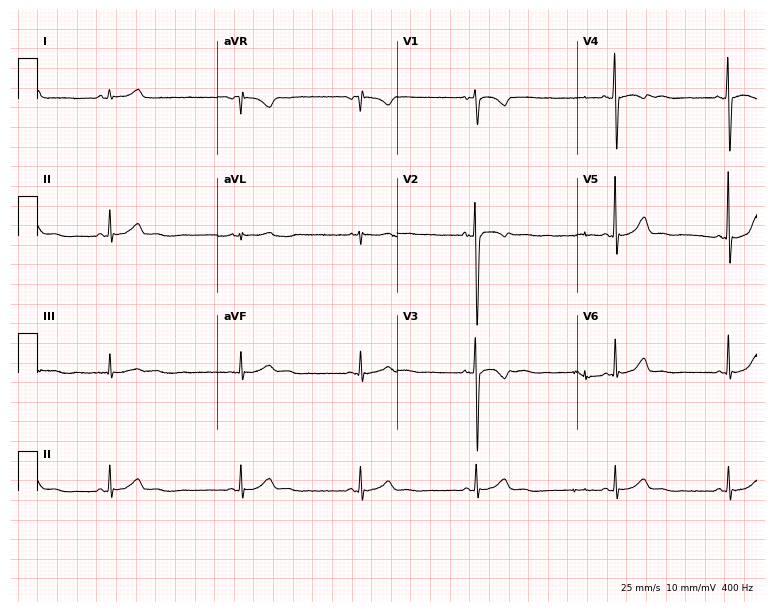
ECG — a 25-year-old male patient. Labelled as a normal ECG.